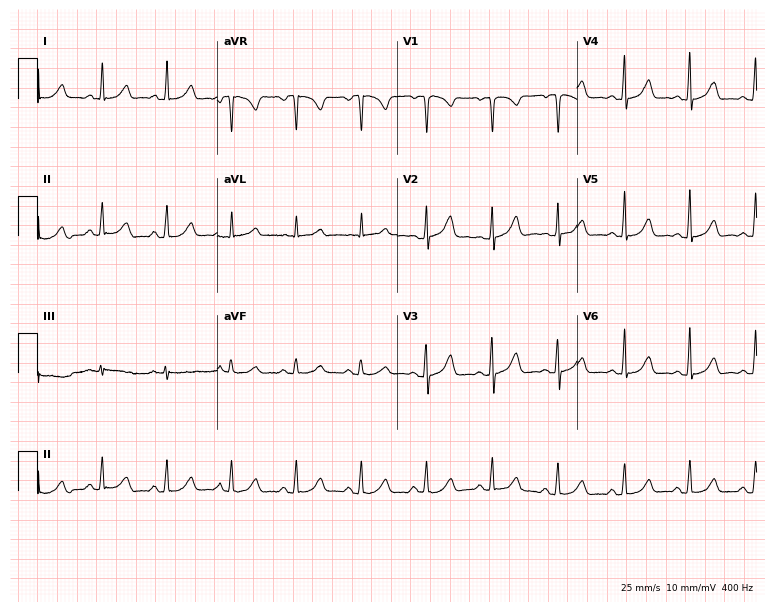
12-lead ECG from a woman, 43 years old. Labelled as a normal ECG.